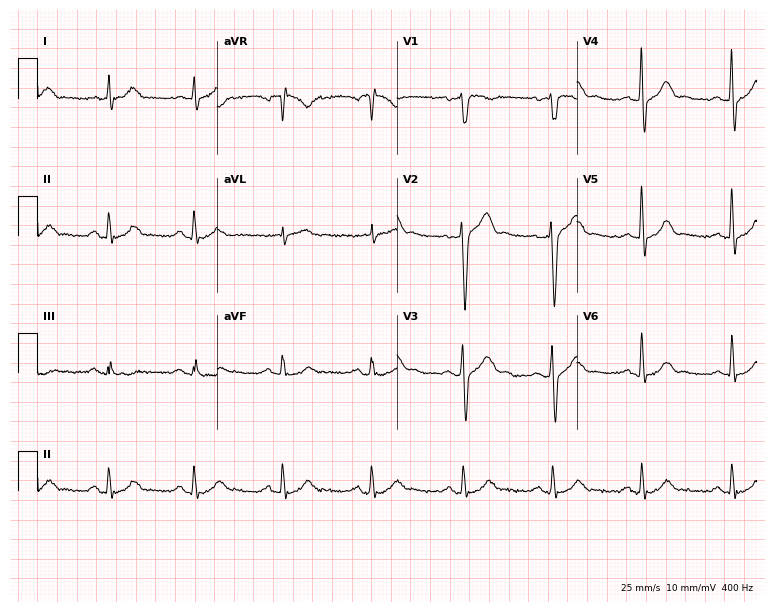
Standard 12-lead ECG recorded from a male patient, 59 years old. Read as a normal ECG.